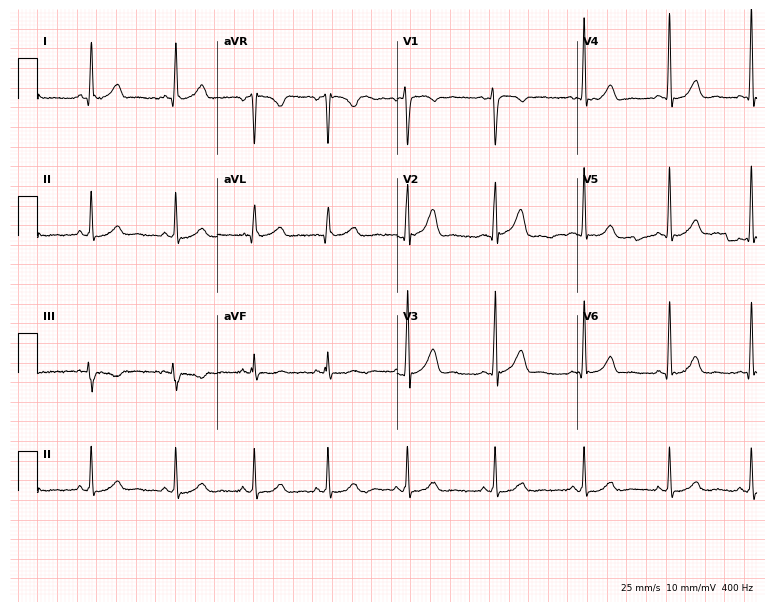
12-lead ECG from a 28-year-old woman. Labelled as a normal ECG.